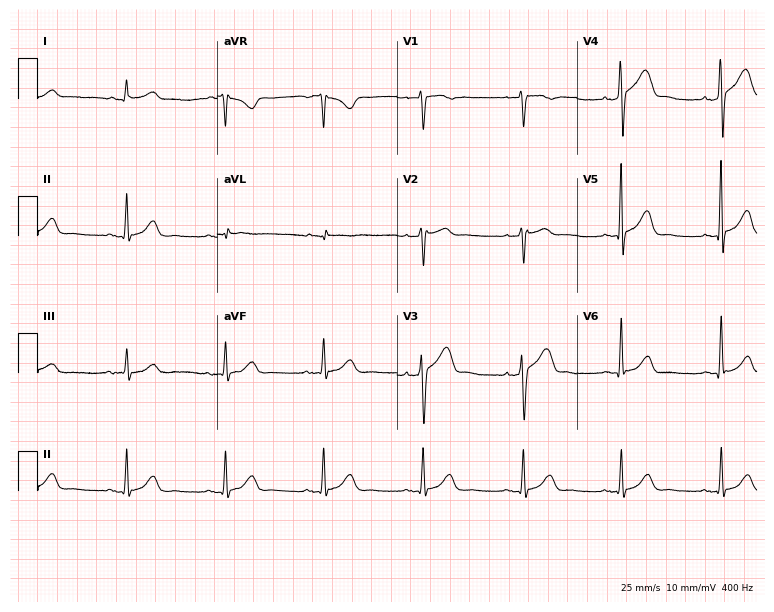
Electrocardiogram, a male patient, 45 years old. Overall reading on record: normal ECG.